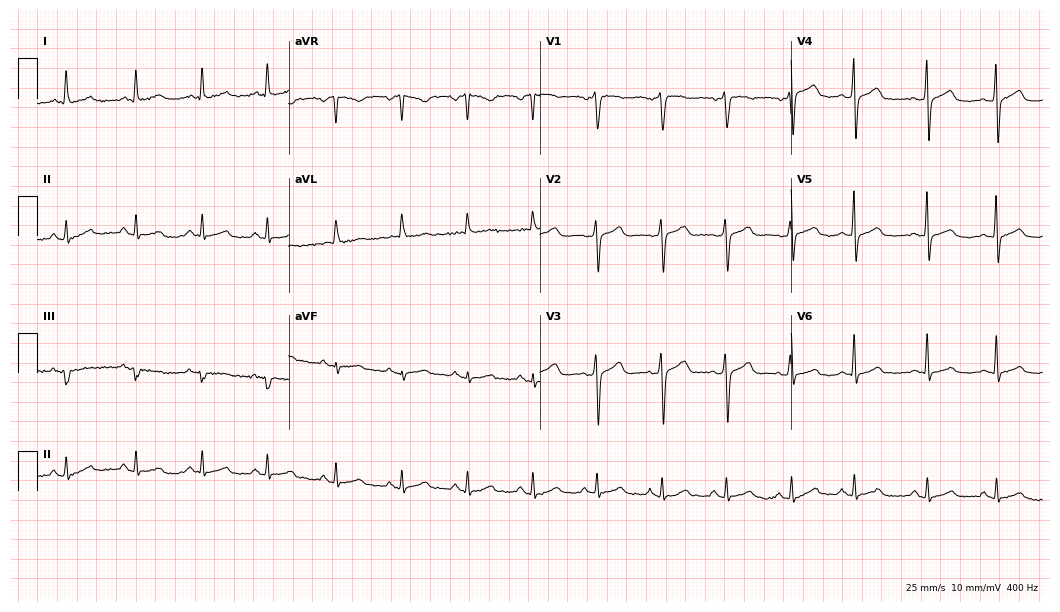
ECG (10.2-second recording at 400 Hz) — a 67-year-old female. Labelled as a normal ECG.